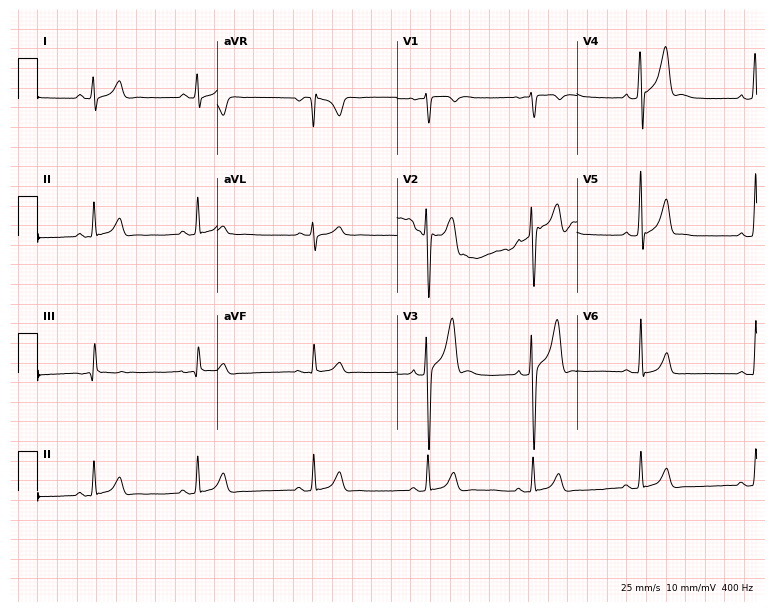
Standard 12-lead ECG recorded from a man, 27 years old. None of these six findings is recorded: first-degree AV block, right bundle branch block, left bundle branch block, sinus bradycardia, atrial fibrillation, sinus tachycardia.